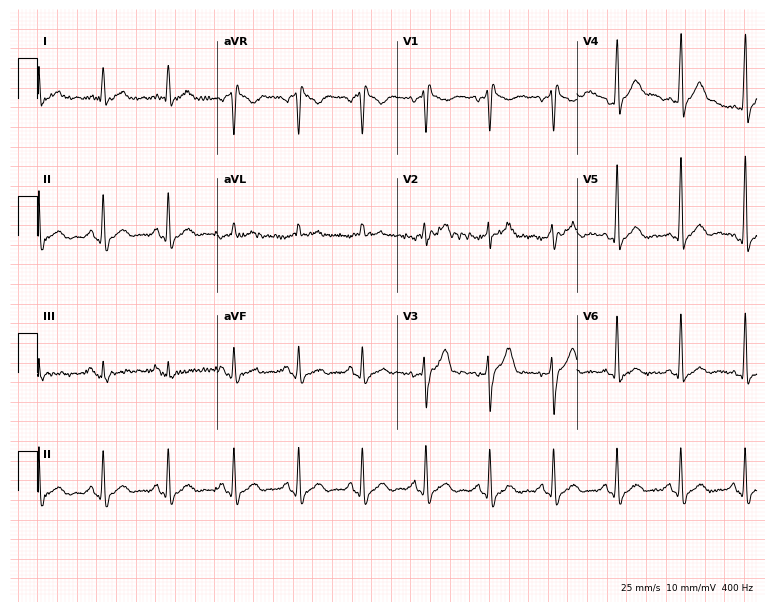
Resting 12-lead electrocardiogram. Patient: a 36-year-old male. None of these six findings is recorded: first-degree AV block, right bundle branch block (RBBB), left bundle branch block (LBBB), sinus bradycardia, atrial fibrillation (AF), sinus tachycardia.